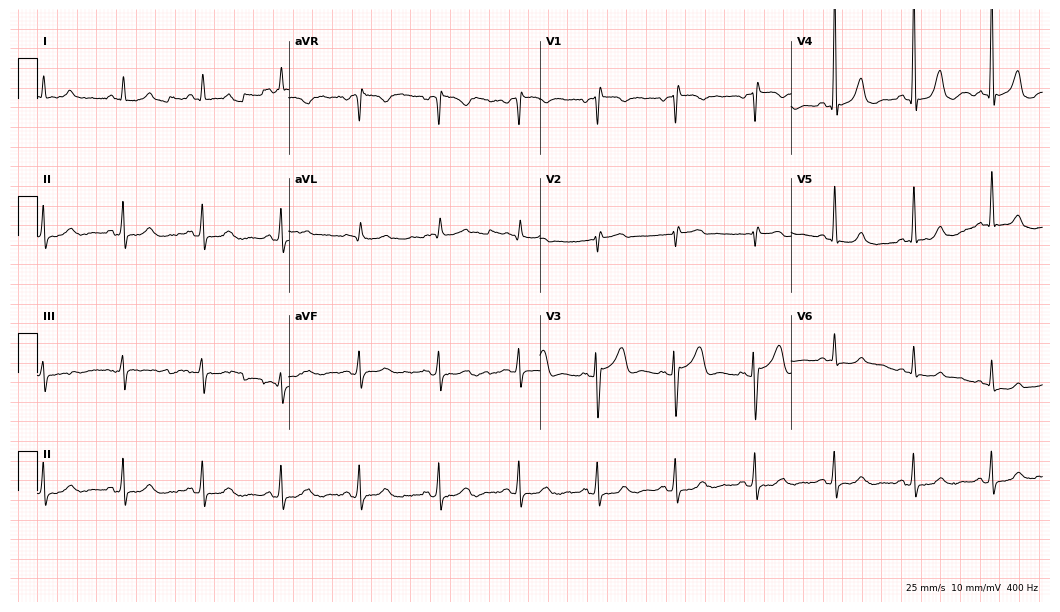
Electrocardiogram (10.2-second recording at 400 Hz), a male patient, 74 years old. Of the six screened findings (first-degree AV block, right bundle branch block, left bundle branch block, sinus bradycardia, atrial fibrillation, sinus tachycardia), none is recorded. Only these six findings were labelled.